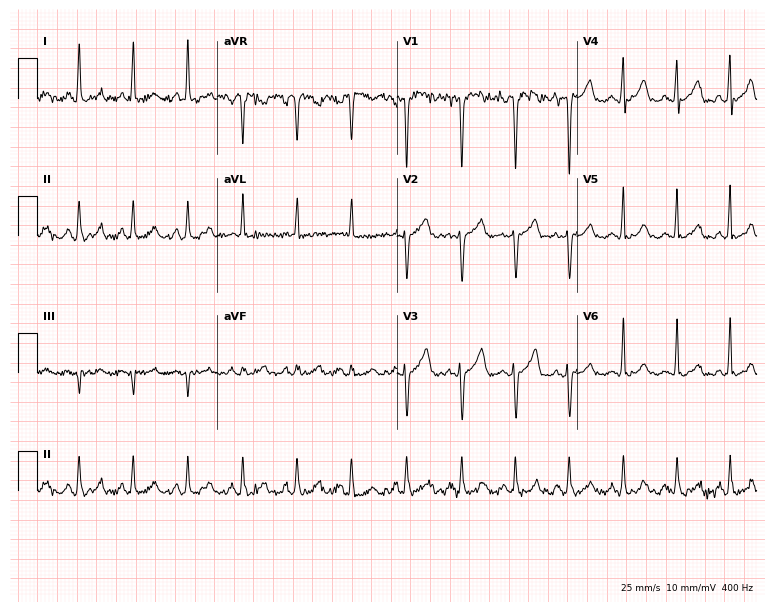
Electrocardiogram (7.3-second recording at 400 Hz), a female, 44 years old. Interpretation includes sinus tachycardia (a sinus rate of 100 beats per minute or more).